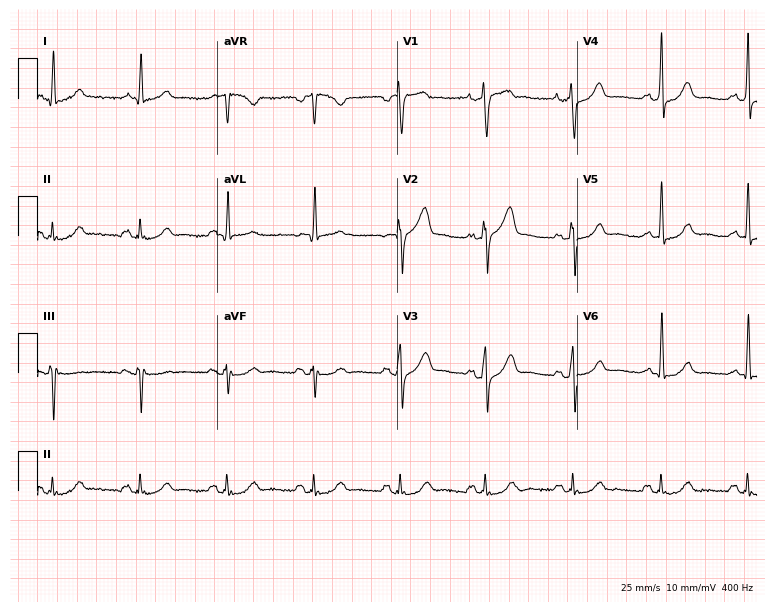
Resting 12-lead electrocardiogram. Patient: a 74-year-old male. Read as a normal ECG.